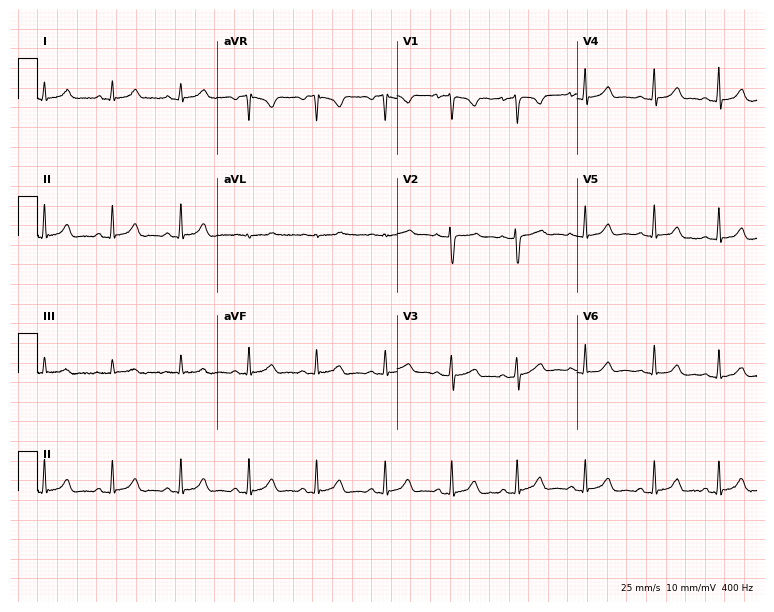
ECG (7.3-second recording at 400 Hz) — a female patient, 22 years old. Screened for six findings — first-degree AV block, right bundle branch block (RBBB), left bundle branch block (LBBB), sinus bradycardia, atrial fibrillation (AF), sinus tachycardia — none is recorded. Findings outside these six are not listed.